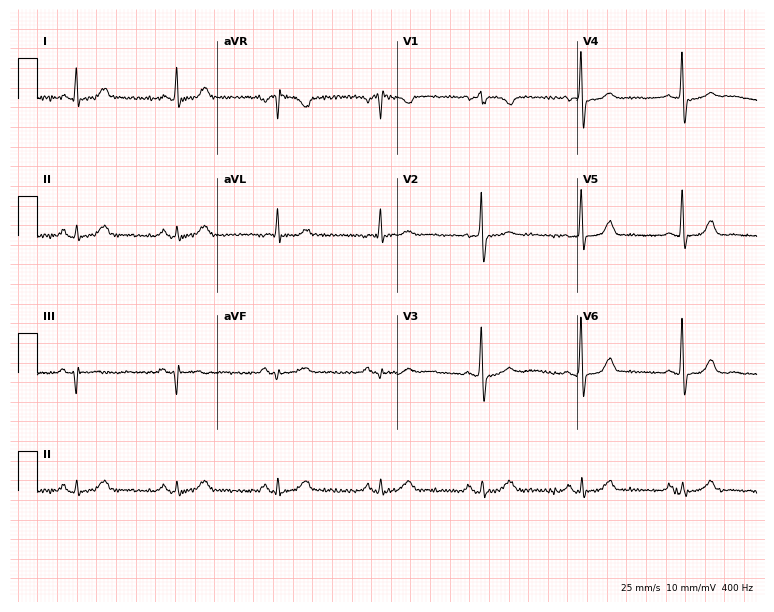
12-lead ECG from a 53-year-old female. Screened for six findings — first-degree AV block, right bundle branch block (RBBB), left bundle branch block (LBBB), sinus bradycardia, atrial fibrillation (AF), sinus tachycardia — none is recorded. Only these six findings were labelled.